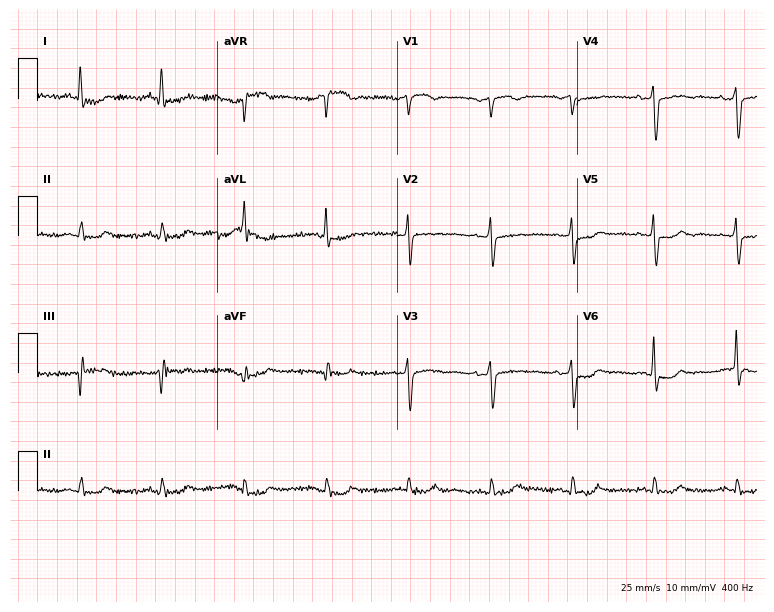
Electrocardiogram, an 82-year-old female. Of the six screened findings (first-degree AV block, right bundle branch block (RBBB), left bundle branch block (LBBB), sinus bradycardia, atrial fibrillation (AF), sinus tachycardia), none is recorded. Only these six findings were labelled.